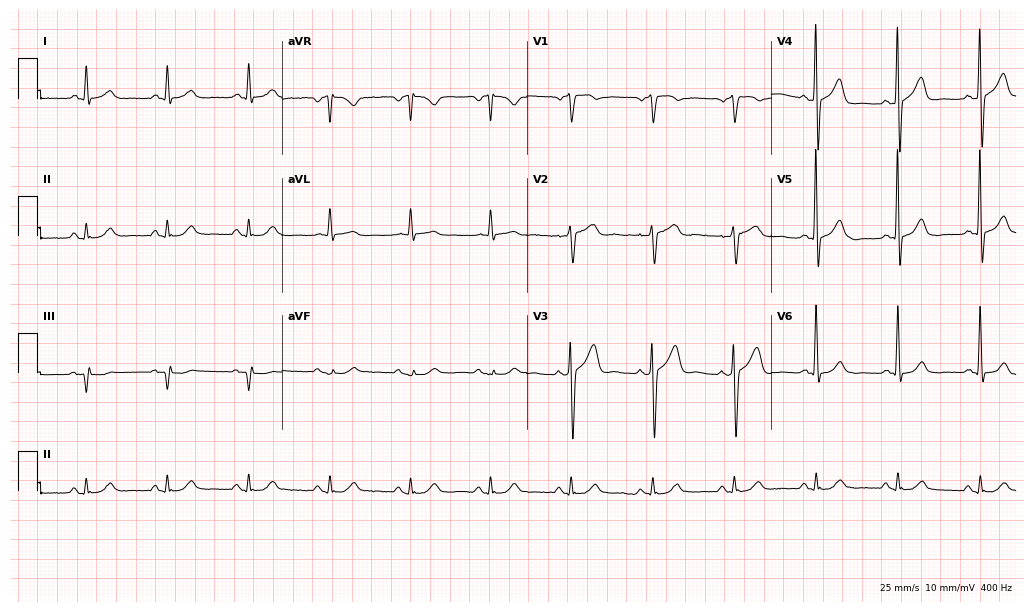
12-lead ECG from a 73-year-old male patient. Labelled as a normal ECG.